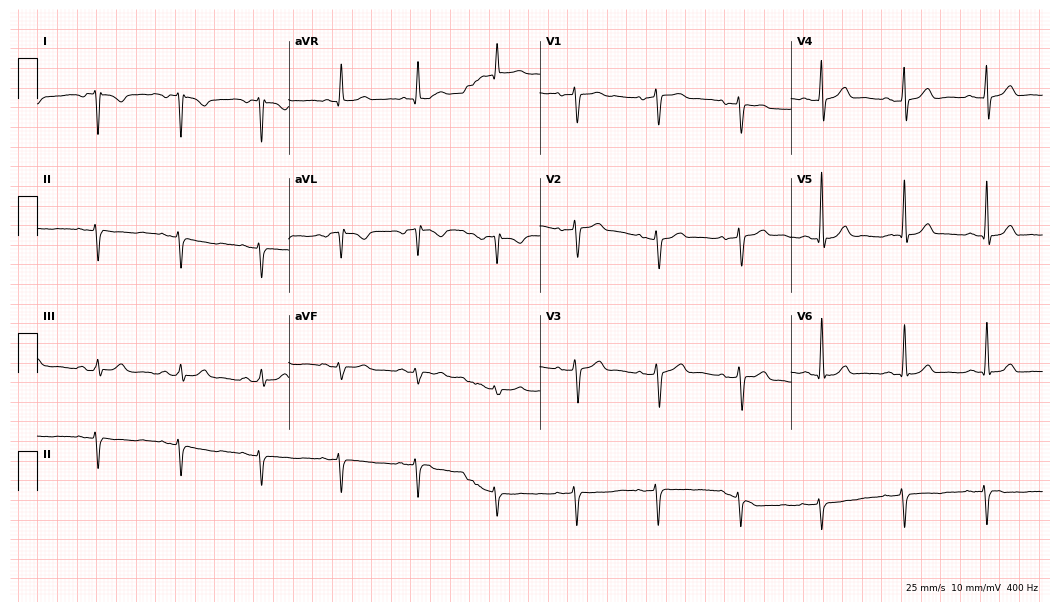
12-lead ECG (10.2-second recording at 400 Hz) from a male patient, 74 years old. Screened for six findings — first-degree AV block, right bundle branch block, left bundle branch block, sinus bradycardia, atrial fibrillation, sinus tachycardia — none is recorded. Findings outside these six are not listed.